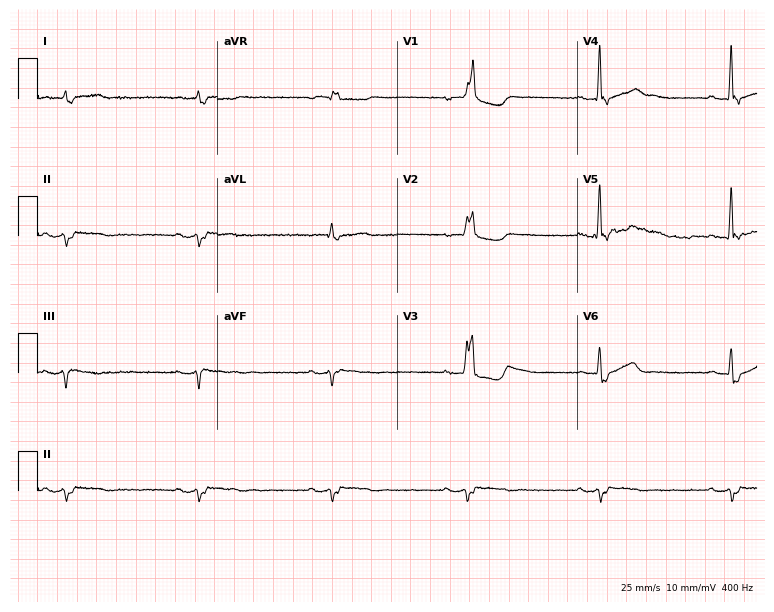
Standard 12-lead ECG recorded from a 71-year-old man. The tracing shows right bundle branch block, sinus bradycardia (a sinus rate of 50 beats per minute or less).